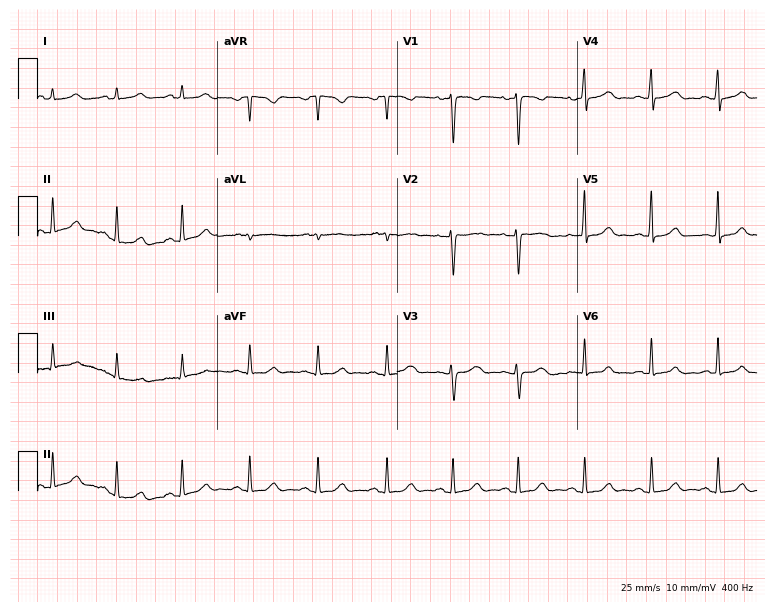
12-lead ECG from a 20-year-old woman (7.3-second recording at 400 Hz). Recorded interpretation: within normal limits.